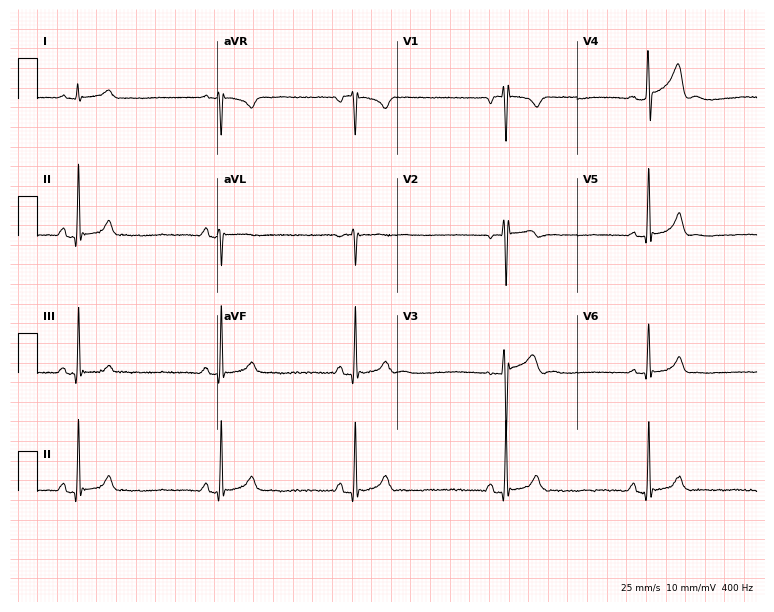
Standard 12-lead ECG recorded from a 34-year-old male patient. The tracing shows sinus bradycardia (a sinus rate of 50 beats per minute or less).